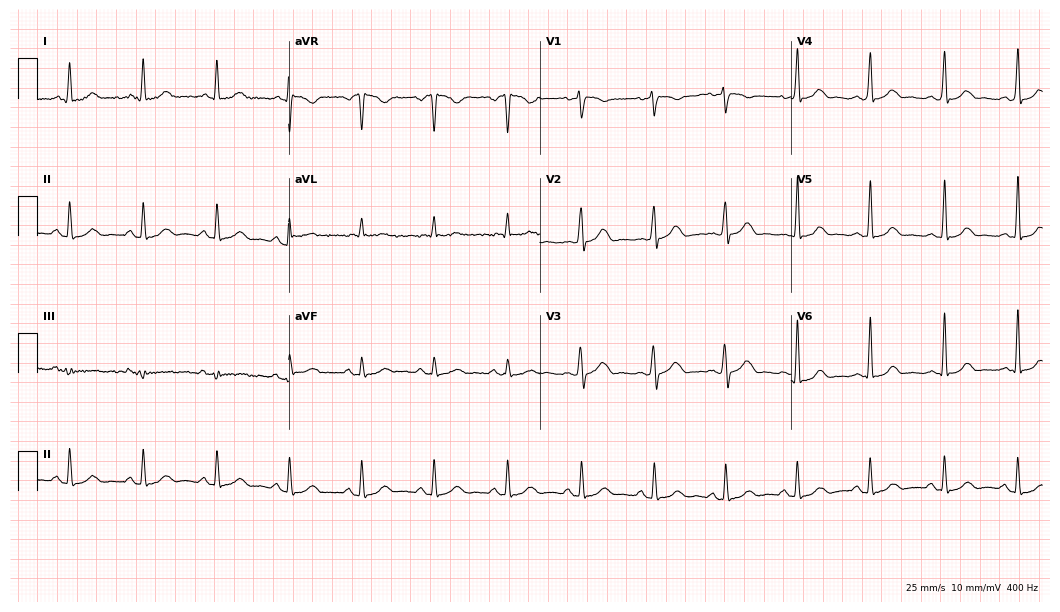
12-lead ECG (10.2-second recording at 400 Hz) from a 46-year-old woman. Screened for six findings — first-degree AV block, right bundle branch block (RBBB), left bundle branch block (LBBB), sinus bradycardia, atrial fibrillation (AF), sinus tachycardia — none is recorded.